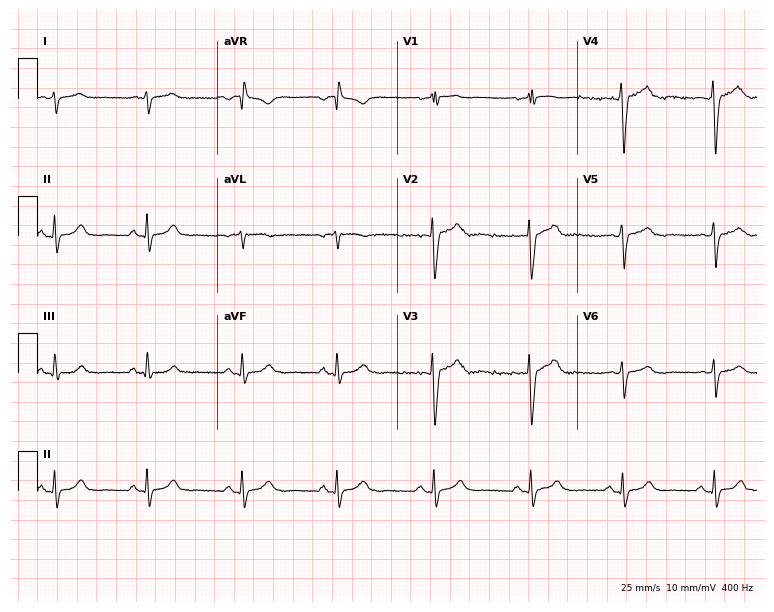
Resting 12-lead electrocardiogram (7.3-second recording at 400 Hz). Patient: a man, 38 years old. None of these six findings is recorded: first-degree AV block, right bundle branch block, left bundle branch block, sinus bradycardia, atrial fibrillation, sinus tachycardia.